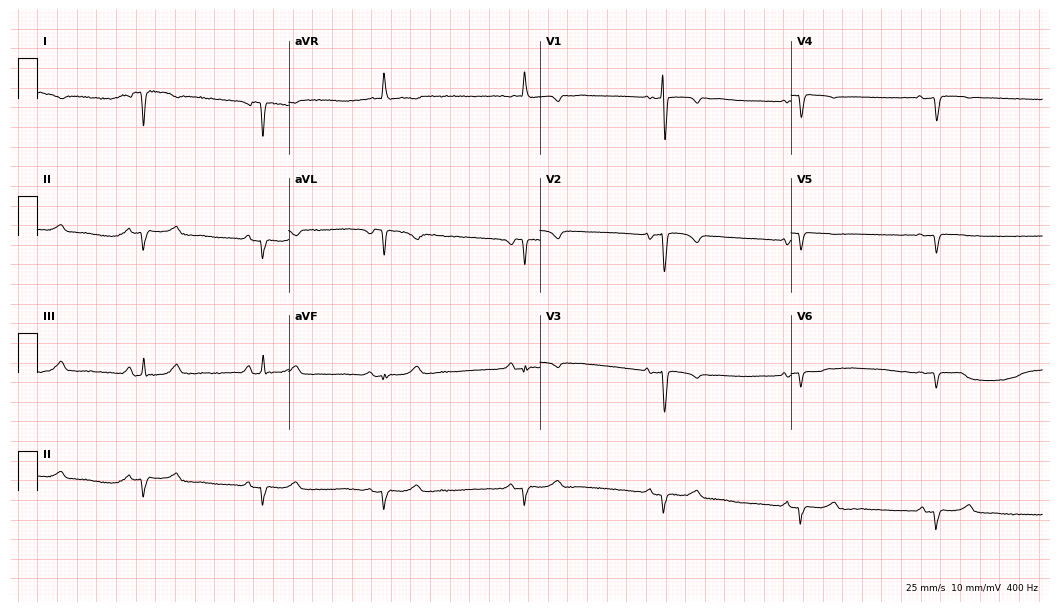
Resting 12-lead electrocardiogram (10.2-second recording at 400 Hz). Patient: a 78-year-old female. None of these six findings is recorded: first-degree AV block, right bundle branch block, left bundle branch block, sinus bradycardia, atrial fibrillation, sinus tachycardia.